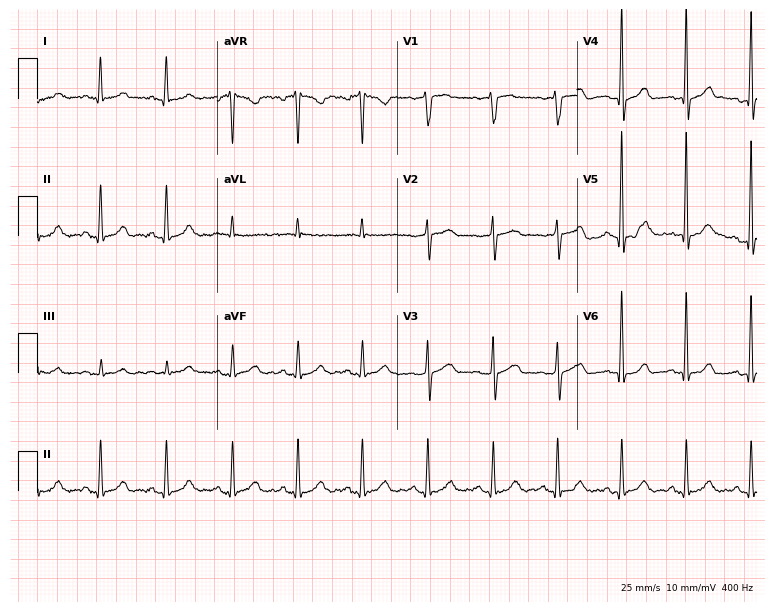
Resting 12-lead electrocardiogram (7.3-second recording at 400 Hz). Patient: a 72-year-old woman. None of these six findings is recorded: first-degree AV block, right bundle branch block (RBBB), left bundle branch block (LBBB), sinus bradycardia, atrial fibrillation (AF), sinus tachycardia. Only these six findings were labelled.